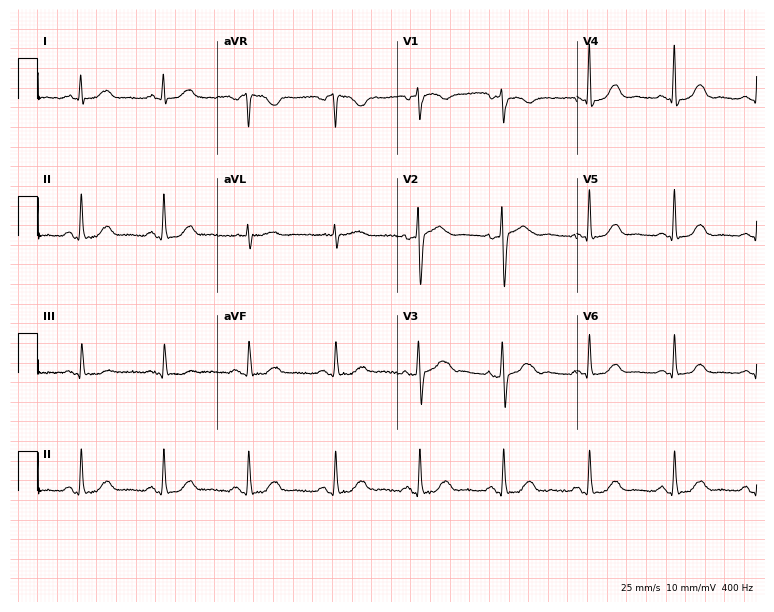
12-lead ECG from a 76-year-old female. Recorded interpretation: within normal limits.